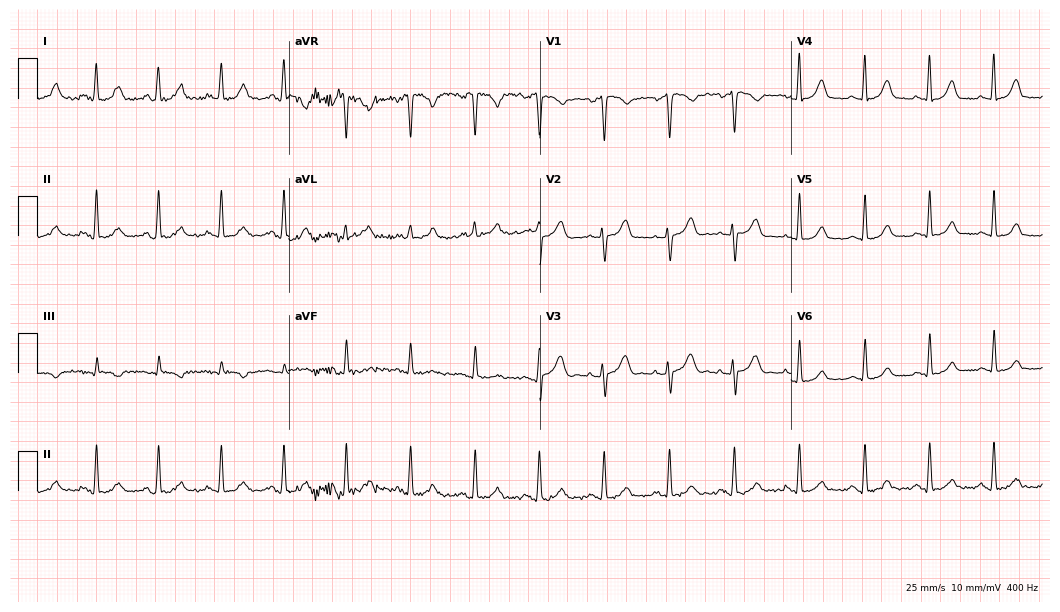
ECG — a 58-year-old female. Screened for six findings — first-degree AV block, right bundle branch block (RBBB), left bundle branch block (LBBB), sinus bradycardia, atrial fibrillation (AF), sinus tachycardia — none is recorded. Findings outside these six are not listed.